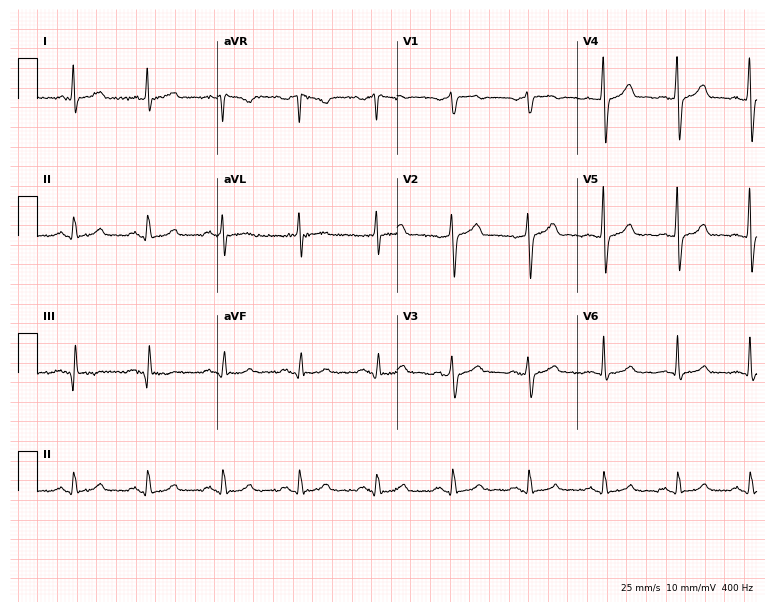
12-lead ECG (7.3-second recording at 400 Hz) from a 59-year-old female patient. Labelled as a normal ECG.